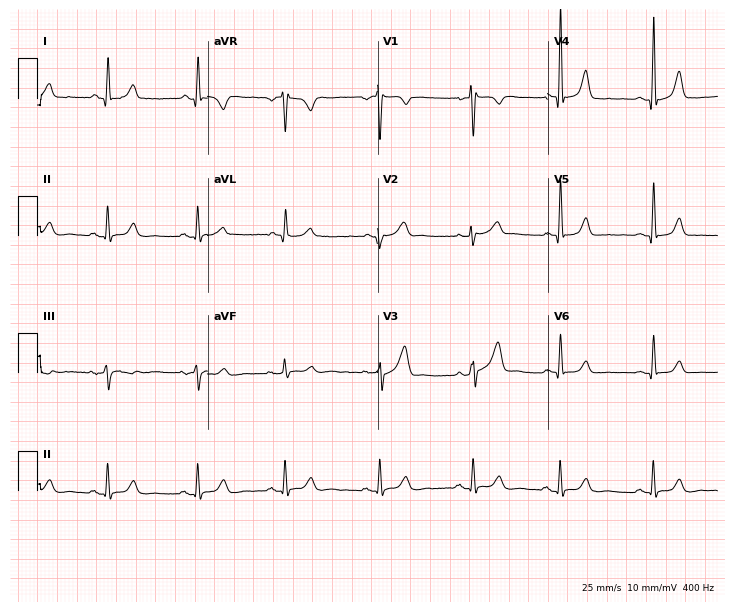
12-lead ECG from a 44-year-old female (6.9-second recording at 400 Hz). No first-degree AV block, right bundle branch block (RBBB), left bundle branch block (LBBB), sinus bradycardia, atrial fibrillation (AF) or sinus tachycardia recorded for this tracing. Findings outside these six are not listed.